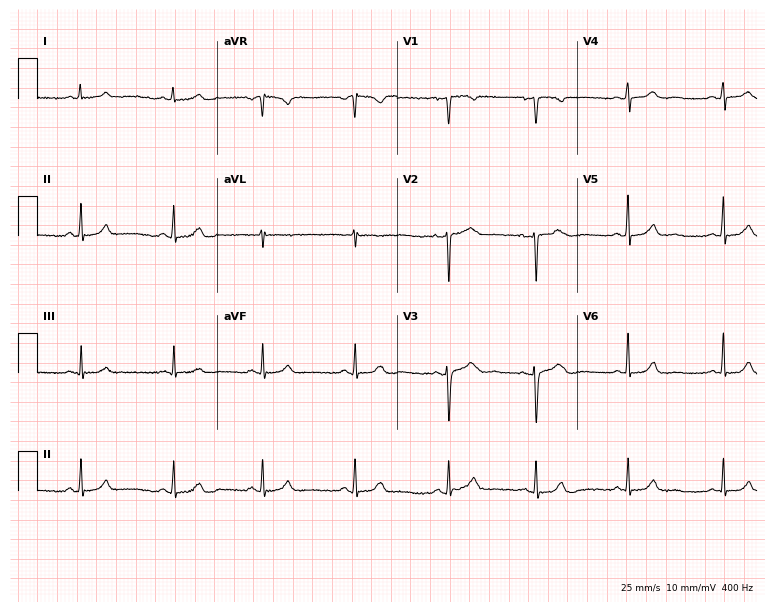
12-lead ECG from a woman, 35 years old. Recorded interpretation: within normal limits.